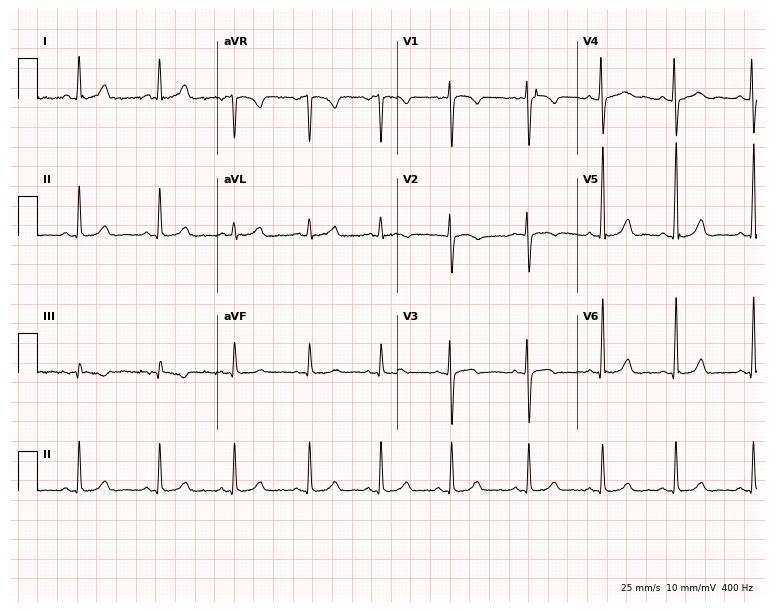
Resting 12-lead electrocardiogram (7.3-second recording at 400 Hz). Patient: a female, 32 years old. None of these six findings is recorded: first-degree AV block, right bundle branch block, left bundle branch block, sinus bradycardia, atrial fibrillation, sinus tachycardia. Only these six findings were labelled.